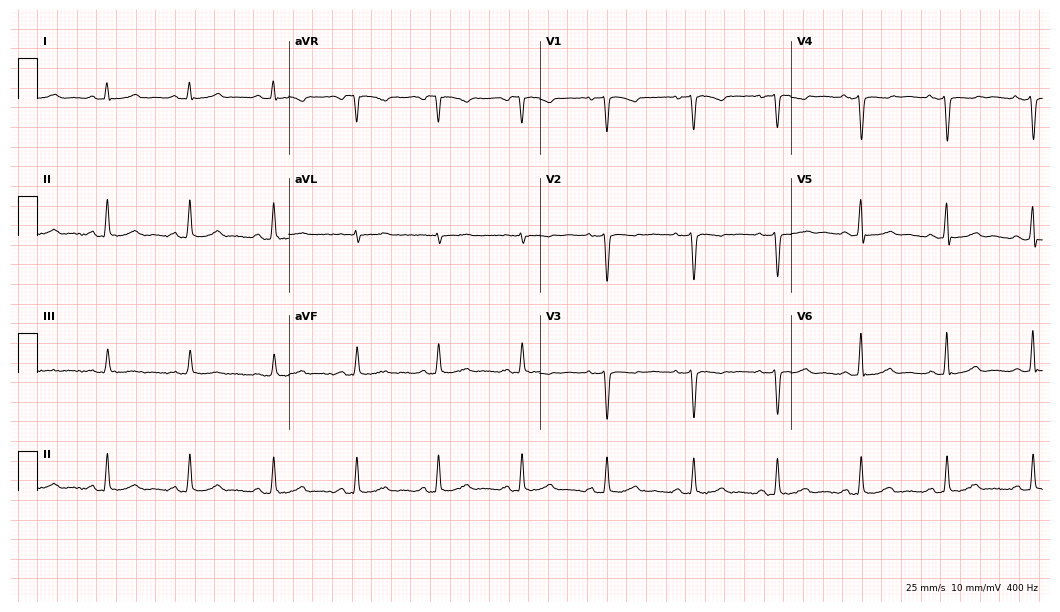
12-lead ECG from a female, 39 years old. No first-degree AV block, right bundle branch block (RBBB), left bundle branch block (LBBB), sinus bradycardia, atrial fibrillation (AF) or sinus tachycardia recorded for this tracing.